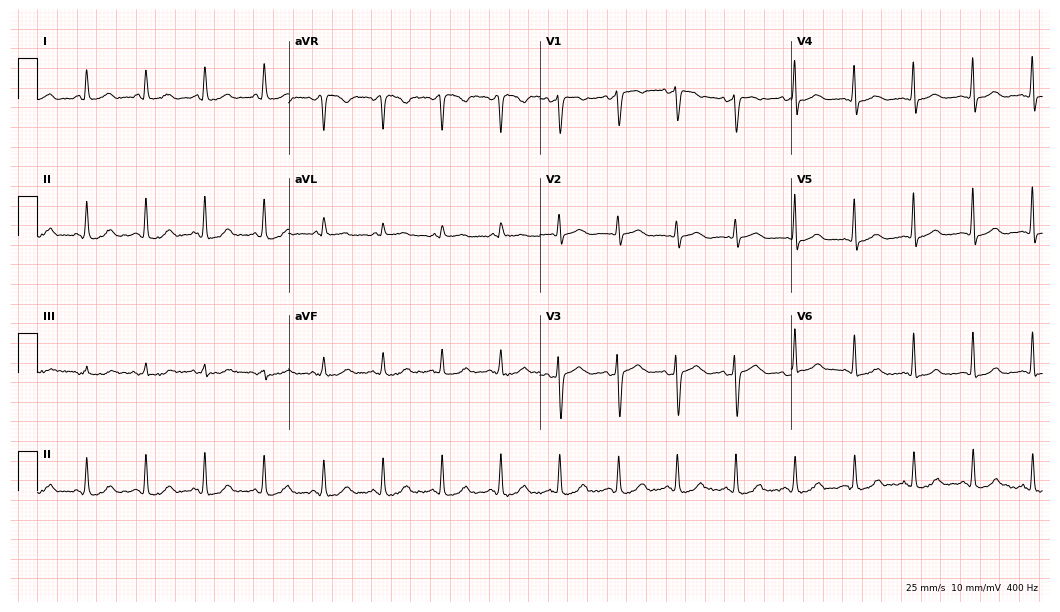
ECG (10.2-second recording at 400 Hz) — a 60-year-old woman. Labelled as a normal ECG.